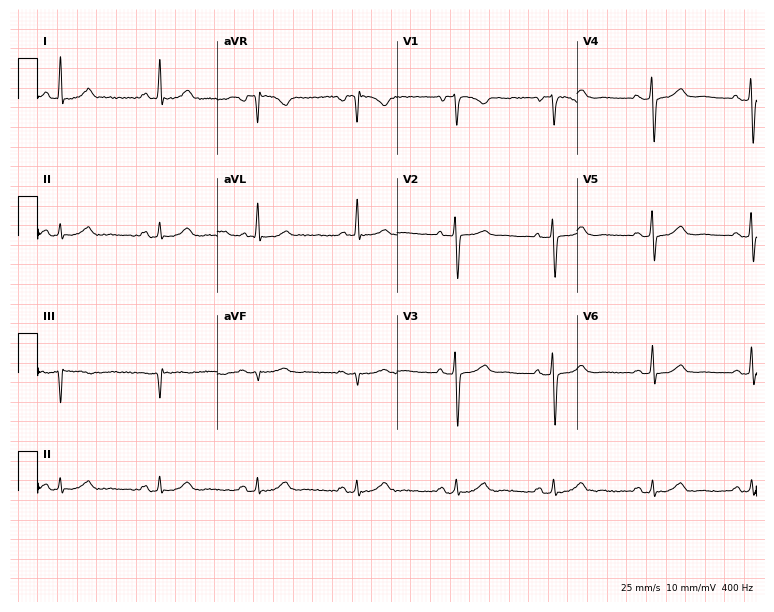
Standard 12-lead ECG recorded from a 68-year-old female patient. None of these six findings is recorded: first-degree AV block, right bundle branch block, left bundle branch block, sinus bradycardia, atrial fibrillation, sinus tachycardia.